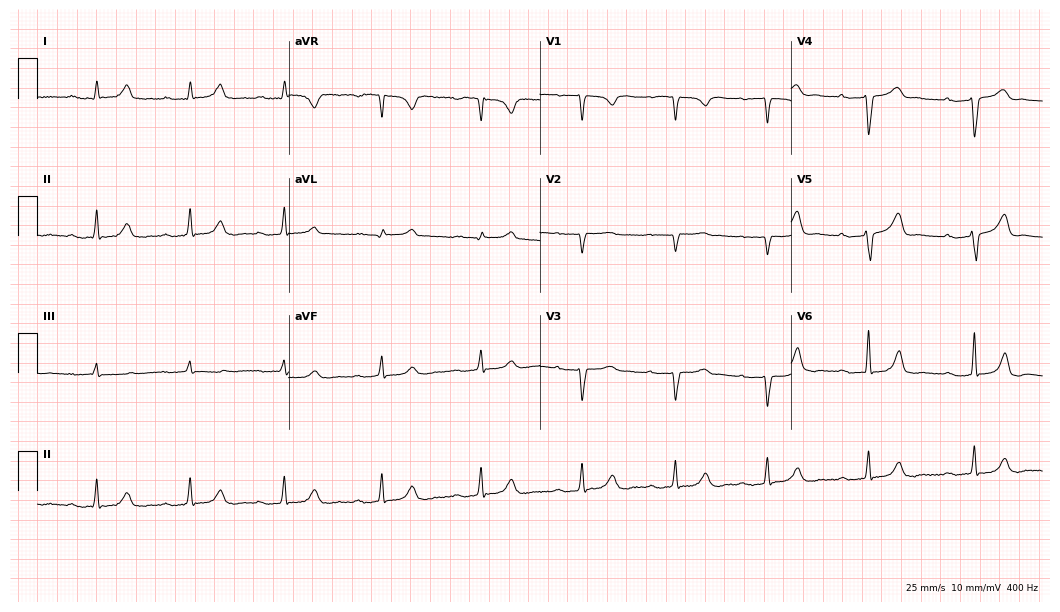
12-lead ECG from a 34-year-old woman (10.2-second recording at 400 Hz). Shows first-degree AV block.